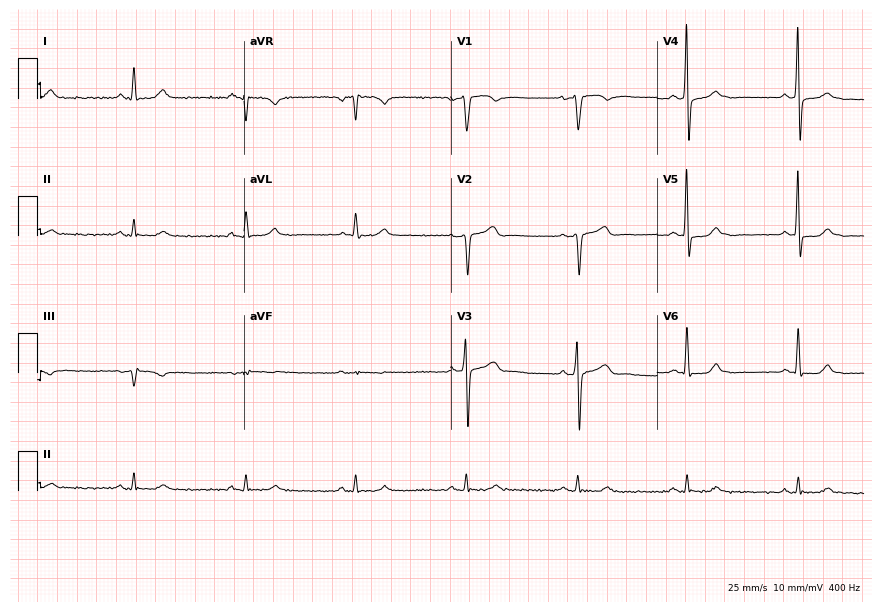
Standard 12-lead ECG recorded from a 70-year-old man (8.4-second recording at 400 Hz). None of these six findings is recorded: first-degree AV block, right bundle branch block, left bundle branch block, sinus bradycardia, atrial fibrillation, sinus tachycardia. Findings outside these six are not listed.